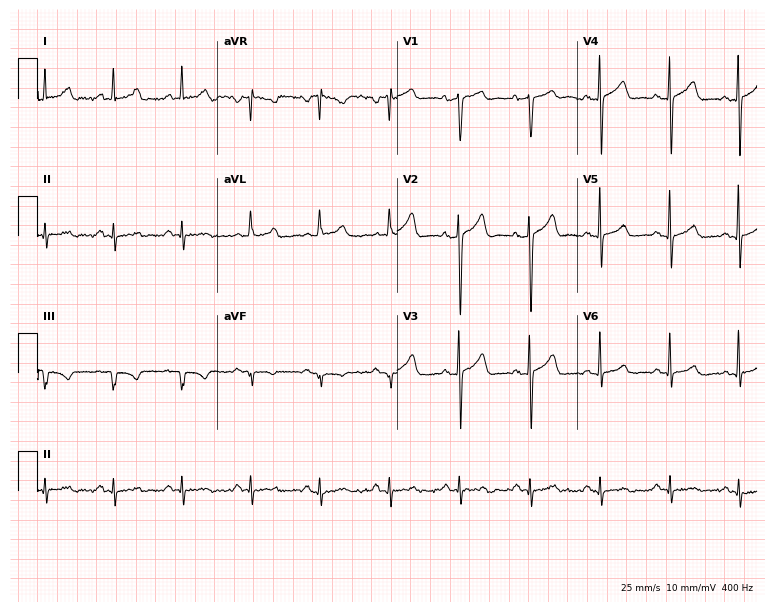
Electrocardiogram (7.3-second recording at 400 Hz), a man, 69 years old. Overall reading on record: normal ECG.